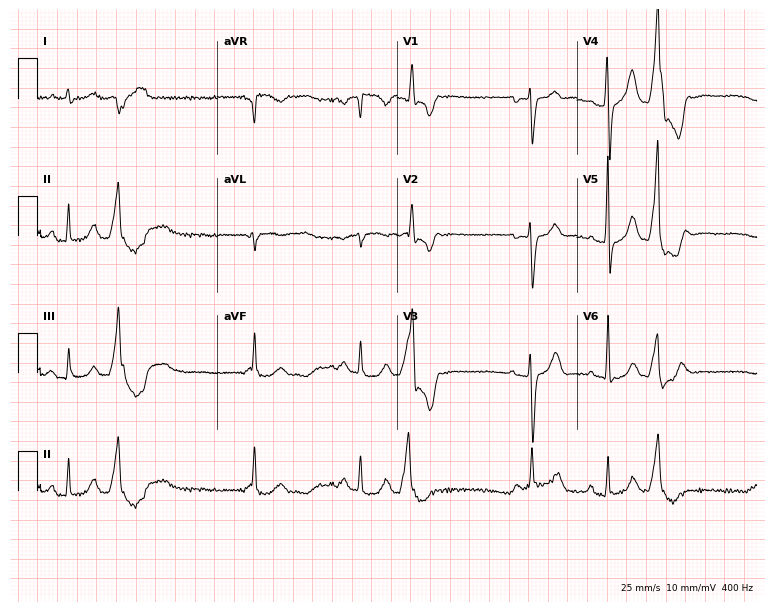
12-lead ECG from a 69-year-old male patient. Screened for six findings — first-degree AV block, right bundle branch block (RBBB), left bundle branch block (LBBB), sinus bradycardia, atrial fibrillation (AF), sinus tachycardia — none is recorded. Only these six findings were labelled.